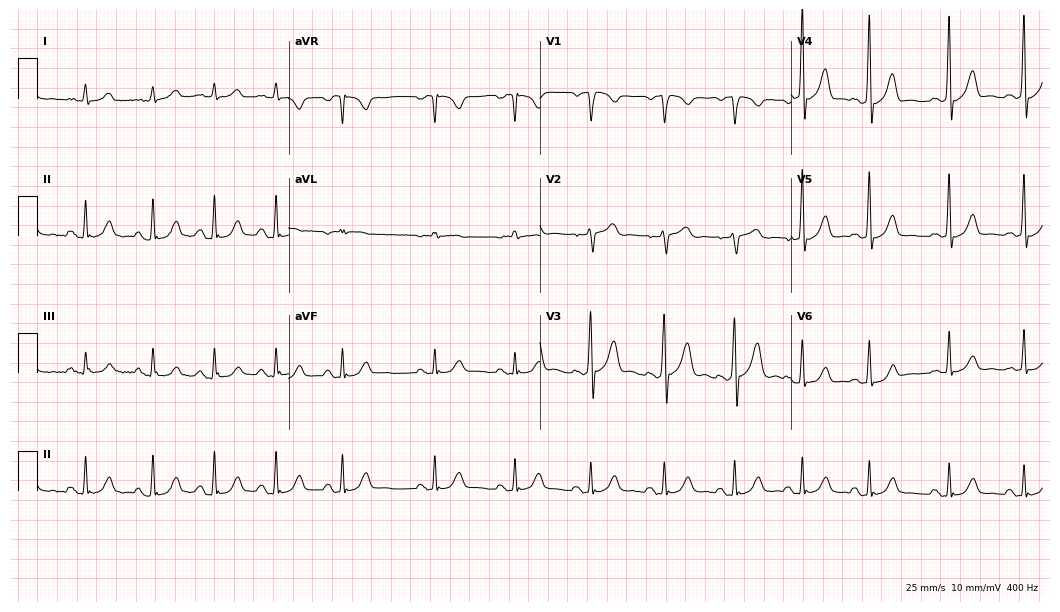
Resting 12-lead electrocardiogram (10.2-second recording at 400 Hz). Patient: a man, 52 years old. Read as a normal ECG.